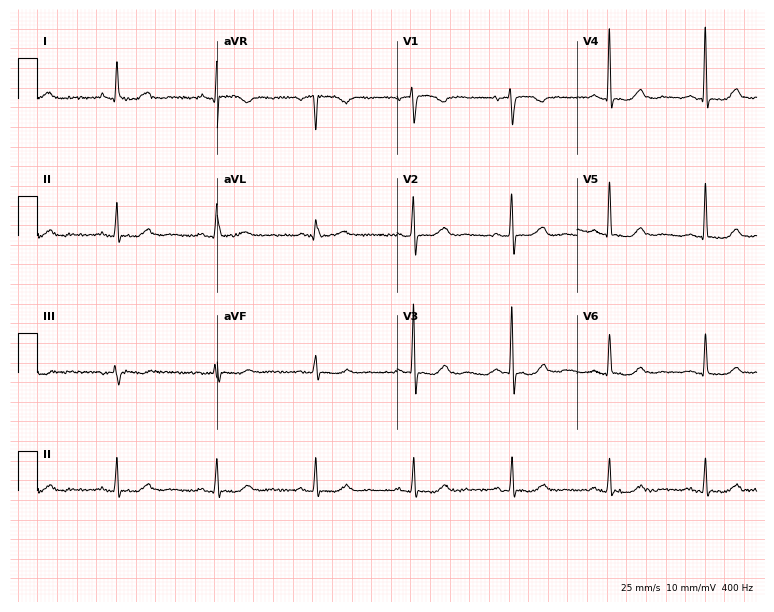
Electrocardiogram (7.3-second recording at 400 Hz), a 71-year-old female. Of the six screened findings (first-degree AV block, right bundle branch block, left bundle branch block, sinus bradycardia, atrial fibrillation, sinus tachycardia), none is recorded.